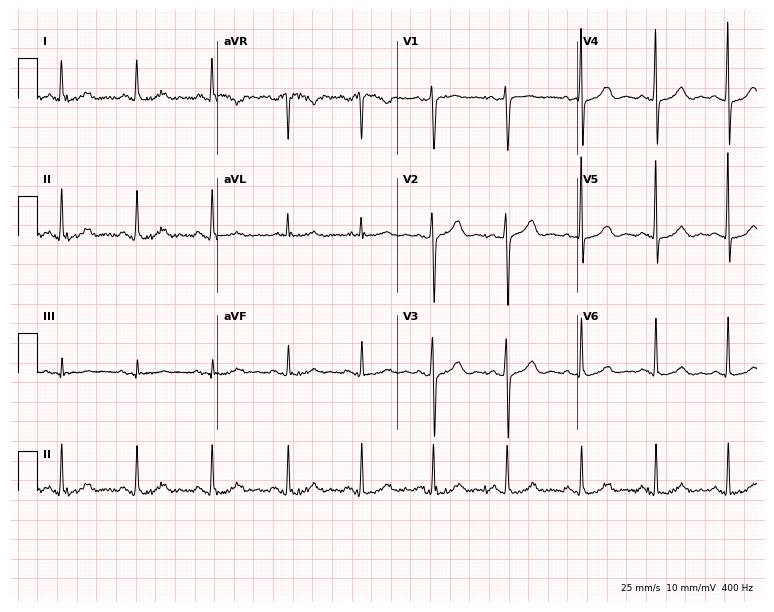
ECG (7.3-second recording at 400 Hz) — a woman, 53 years old. Labelled as a normal ECG.